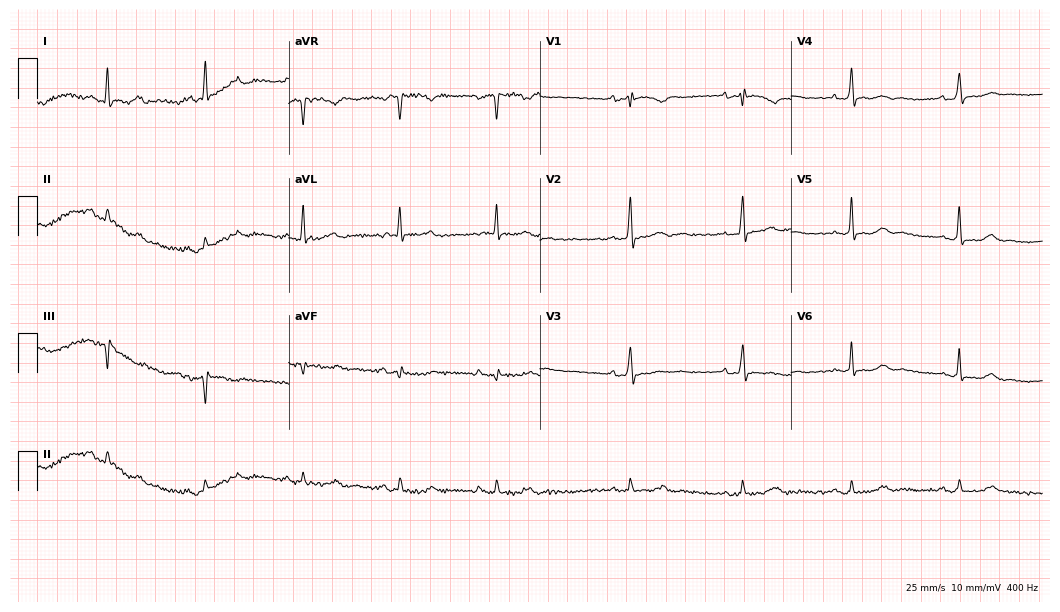
12-lead ECG from a woman, 80 years old. No first-degree AV block, right bundle branch block, left bundle branch block, sinus bradycardia, atrial fibrillation or sinus tachycardia recorded for this tracing. Only these six findings were labelled.